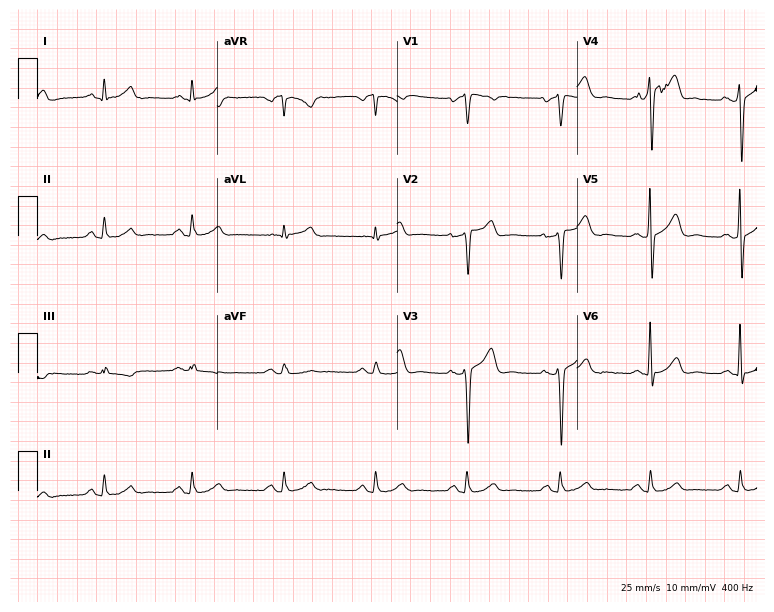
Standard 12-lead ECG recorded from a 54-year-old man. None of these six findings is recorded: first-degree AV block, right bundle branch block, left bundle branch block, sinus bradycardia, atrial fibrillation, sinus tachycardia.